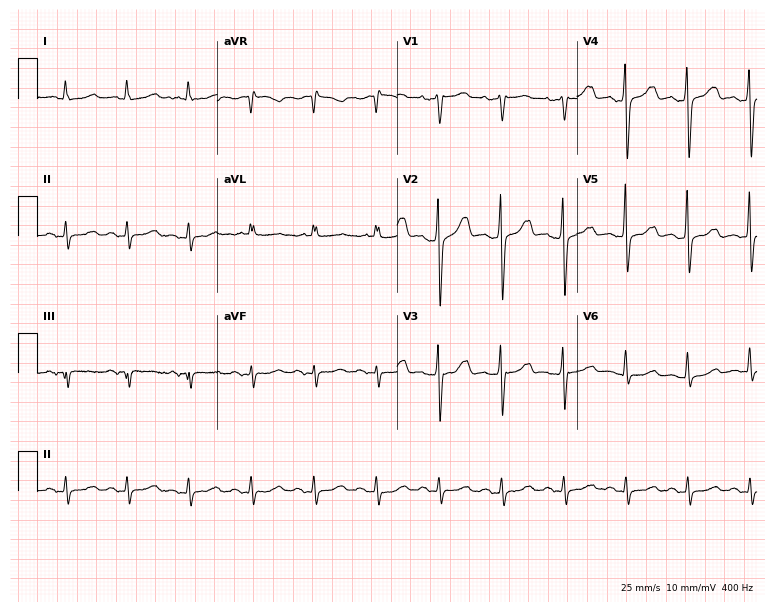
Electrocardiogram (7.3-second recording at 400 Hz), a female patient, 75 years old. Overall reading on record: normal ECG.